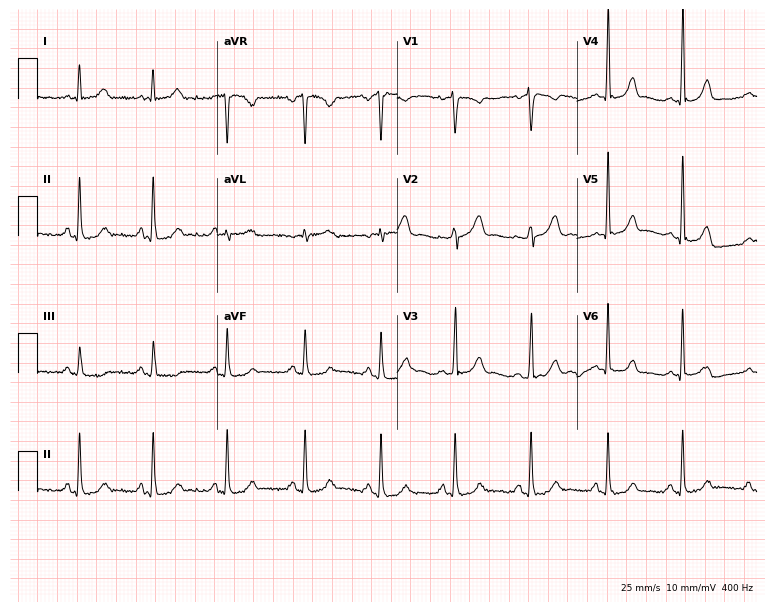
ECG (7.3-second recording at 400 Hz) — a woman, 41 years old. Labelled as a normal ECG.